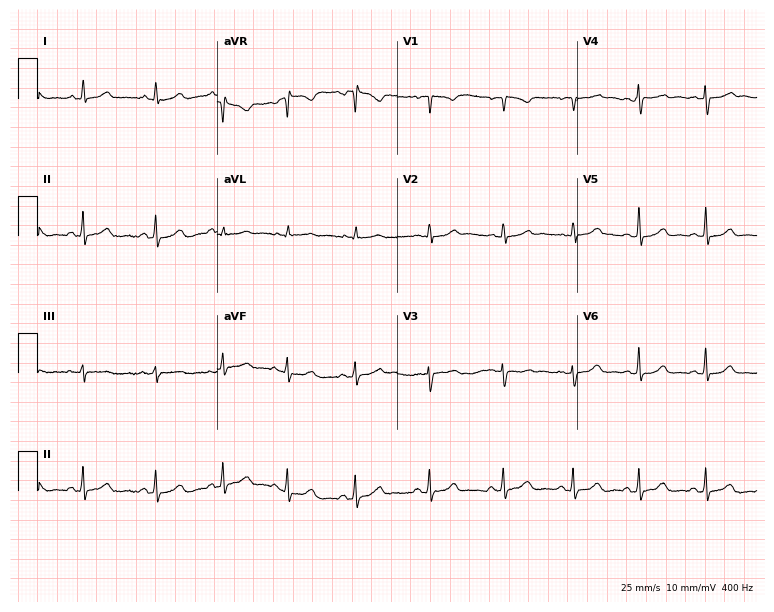
ECG — a 22-year-old female. Labelled as a normal ECG.